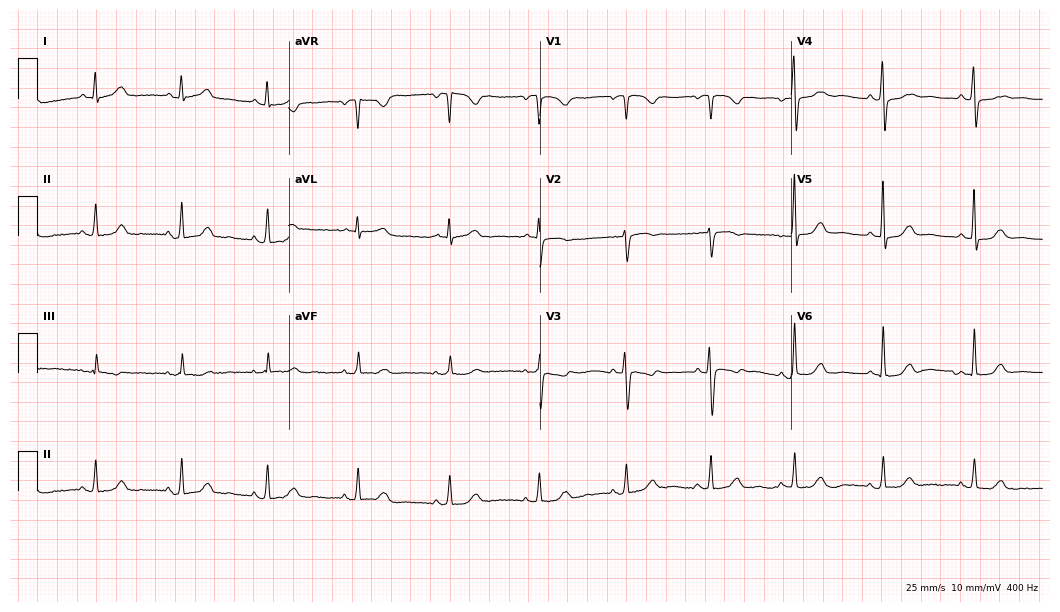
Electrocardiogram (10.2-second recording at 400 Hz), a 53-year-old female patient. Overall reading on record: normal ECG.